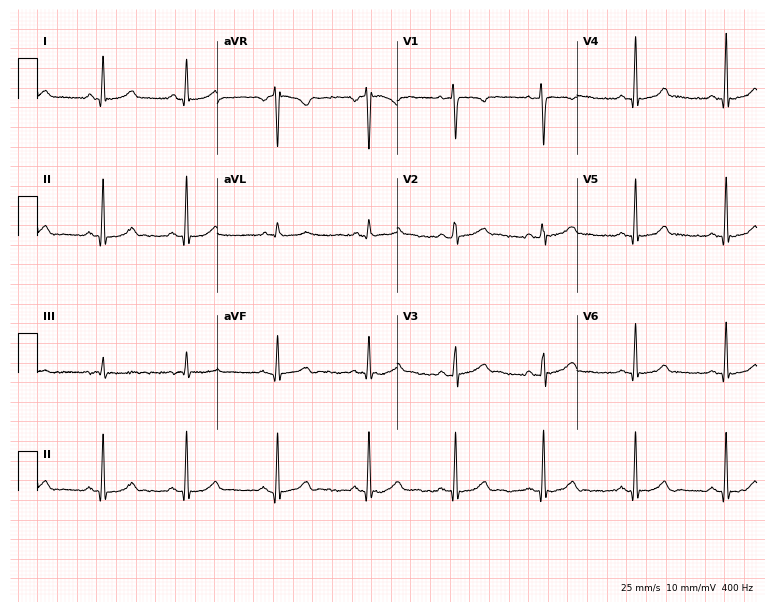
Standard 12-lead ECG recorded from a female patient, 35 years old. Read as a normal ECG.